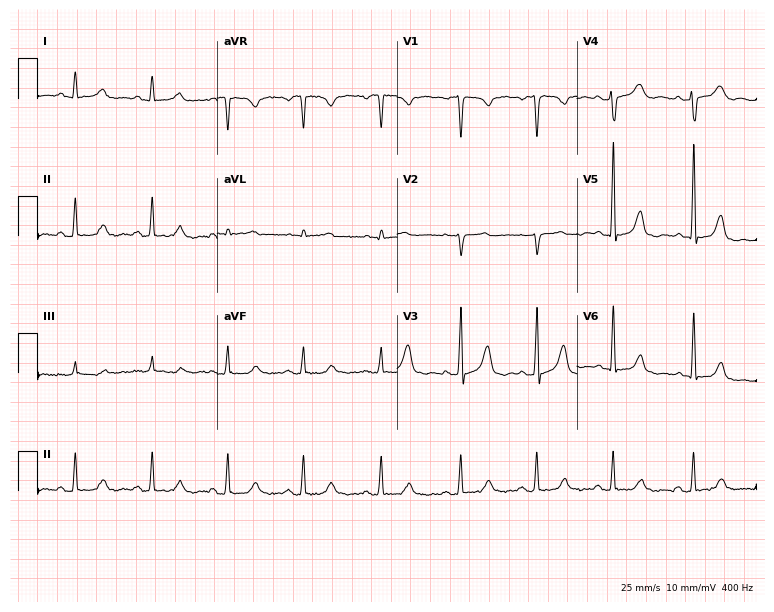
ECG — a female patient, 37 years old. Screened for six findings — first-degree AV block, right bundle branch block (RBBB), left bundle branch block (LBBB), sinus bradycardia, atrial fibrillation (AF), sinus tachycardia — none is recorded.